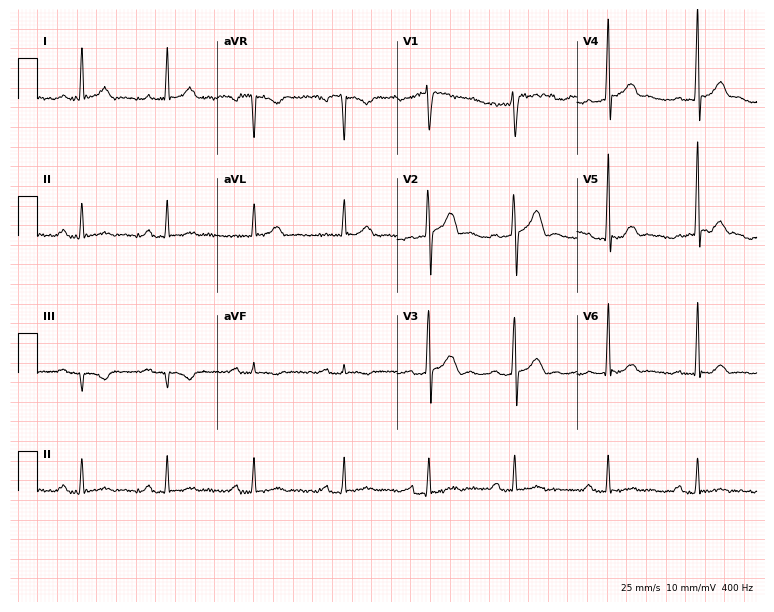
Electrocardiogram, a 33-year-old male. Interpretation includes first-degree AV block.